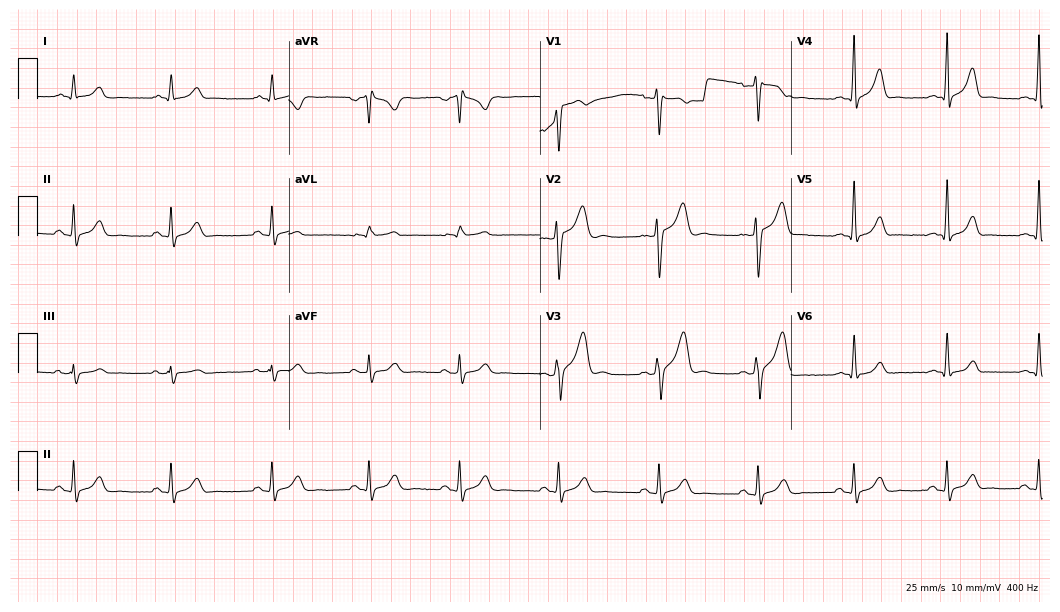
Resting 12-lead electrocardiogram (10.2-second recording at 400 Hz). Patient: a 25-year-old male. None of these six findings is recorded: first-degree AV block, right bundle branch block, left bundle branch block, sinus bradycardia, atrial fibrillation, sinus tachycardia.